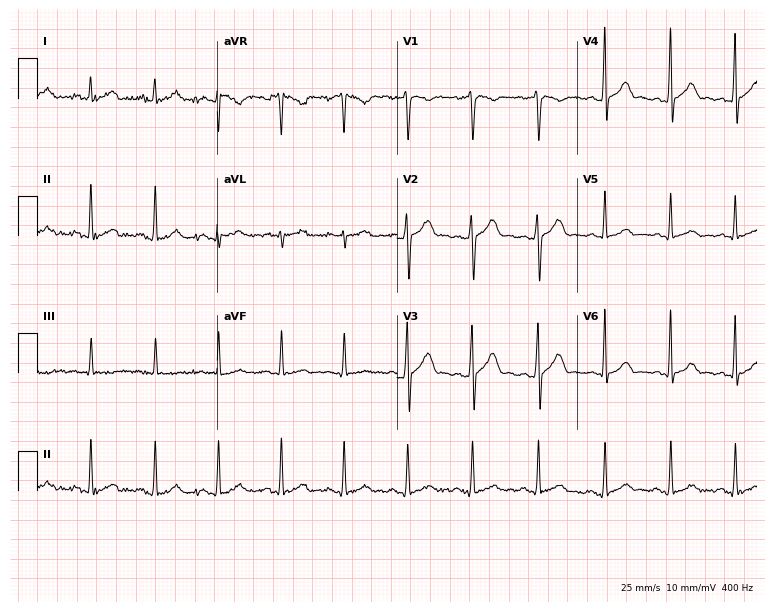
Resting 12-lead electrocardiogram (7.3-second recording at 400 Hz). Patient: a 23-year-old man. Read as a normal ECG.